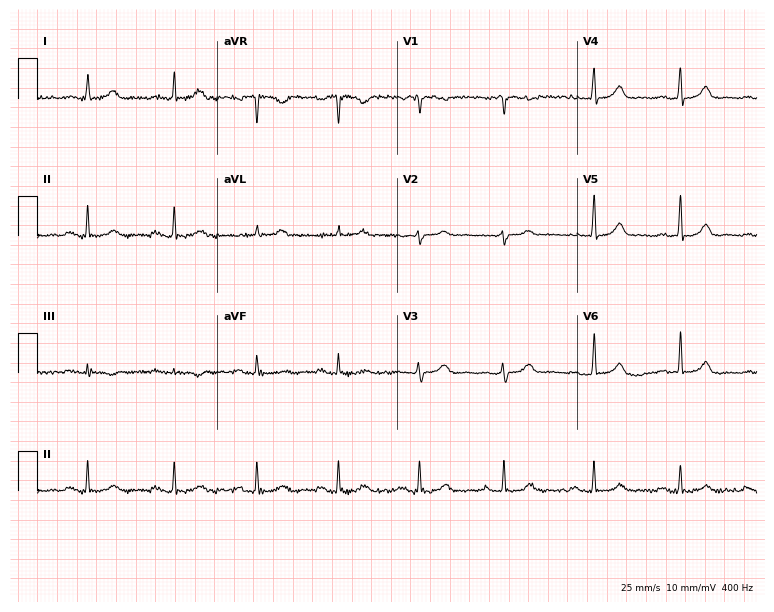
Electrocardiogram (7.3-second recording at 400 Hz), a woman, 40 years old. Of the six screened findings (first-degree AV block, right bundle branch block, left bundle branch block, sinus bradycardia, atrial fibrillation, sinus tachycardia), none is recorded.